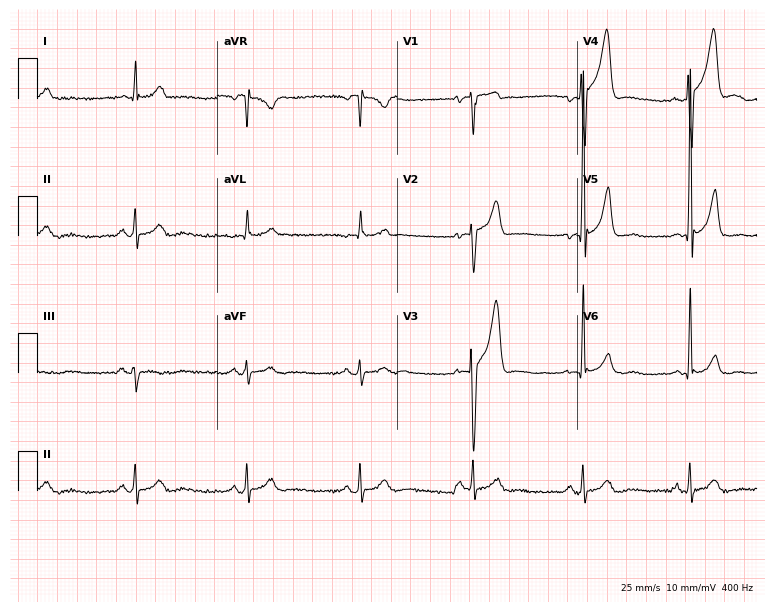
ECG — a 46-year-old male. Screened for six findings — first-degree AV block, right bundle branch block, left bundle branch block, sinus bradycardia, atrial fibrillation, sinus tachycardia — none is recorded.